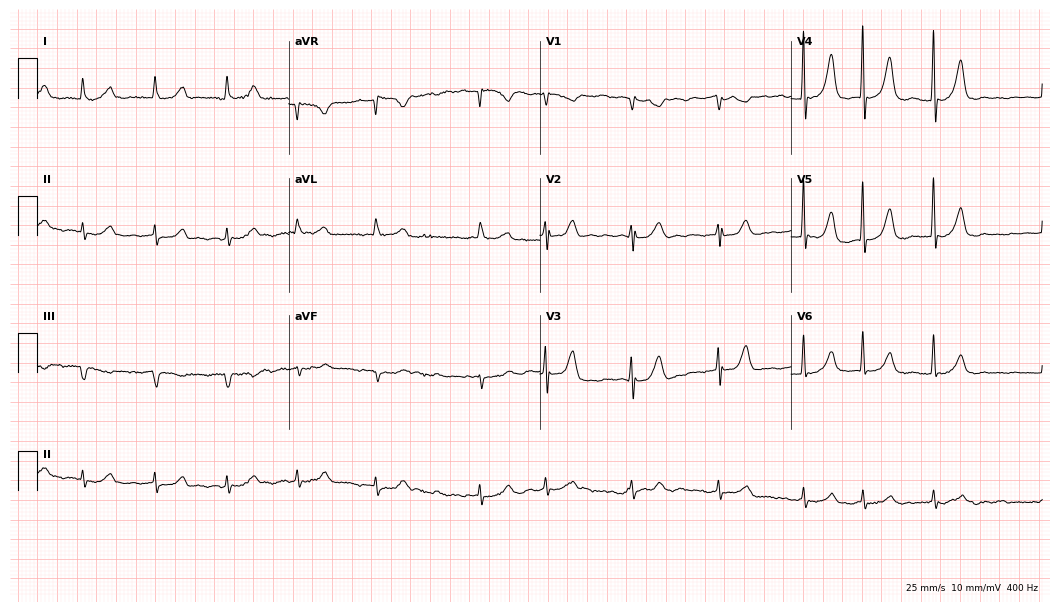
Standard 12-lead ECG recorded from a female, 76 years old (10.2-second recording at 400 Hz). None of these six findings is recorded: first-degree AV block, right bundle branch block (RBBB), left bundle branch block (LBBB), sinus bradycardia, atrial fibrillation (AF), sinus tachycardia.